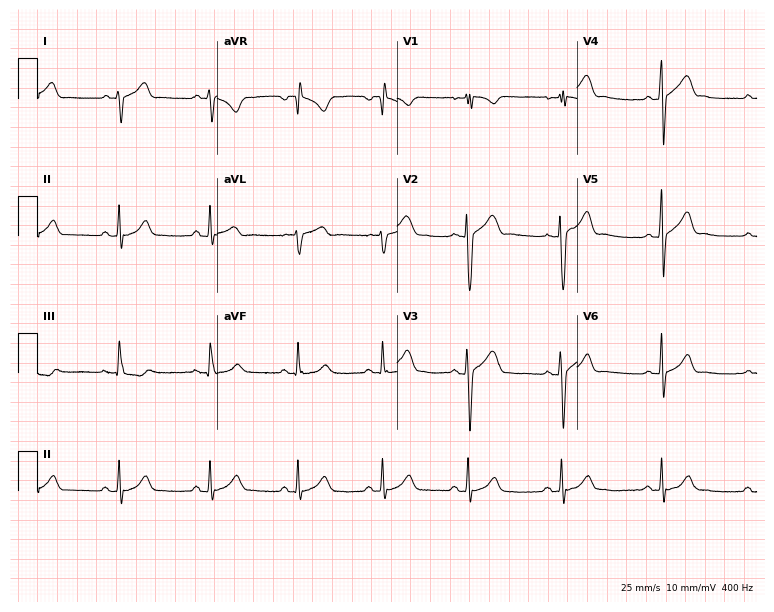
12-lead ECG from a 17-year-old man (7.3-second recording at 400 Hz). Recorded interpretation: within normal limits.